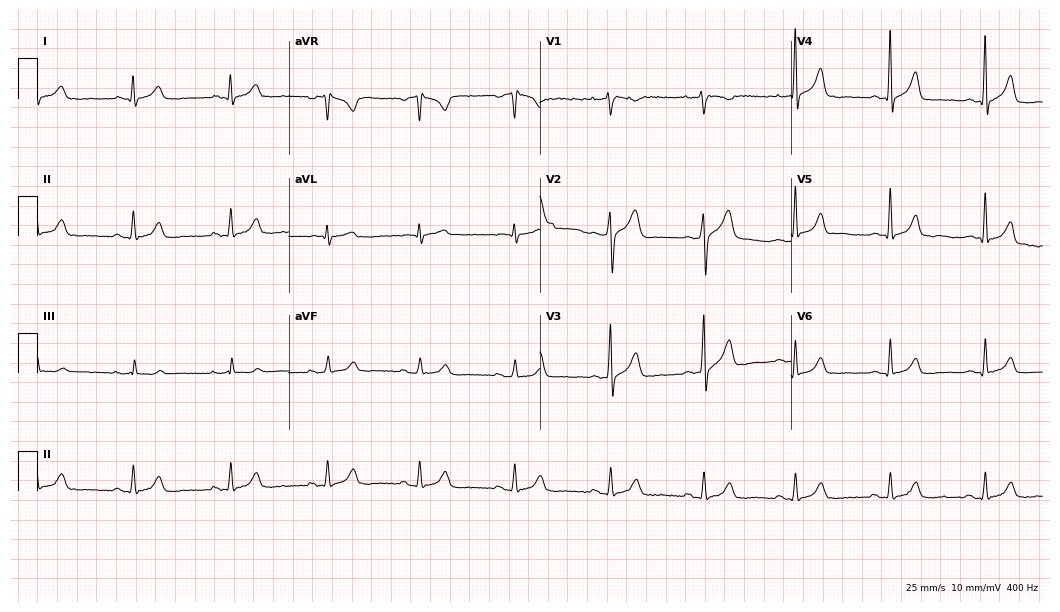
Resting 12-lead electrocardiogram. Patient: a 34-year-old man. Read as a normal ECG.